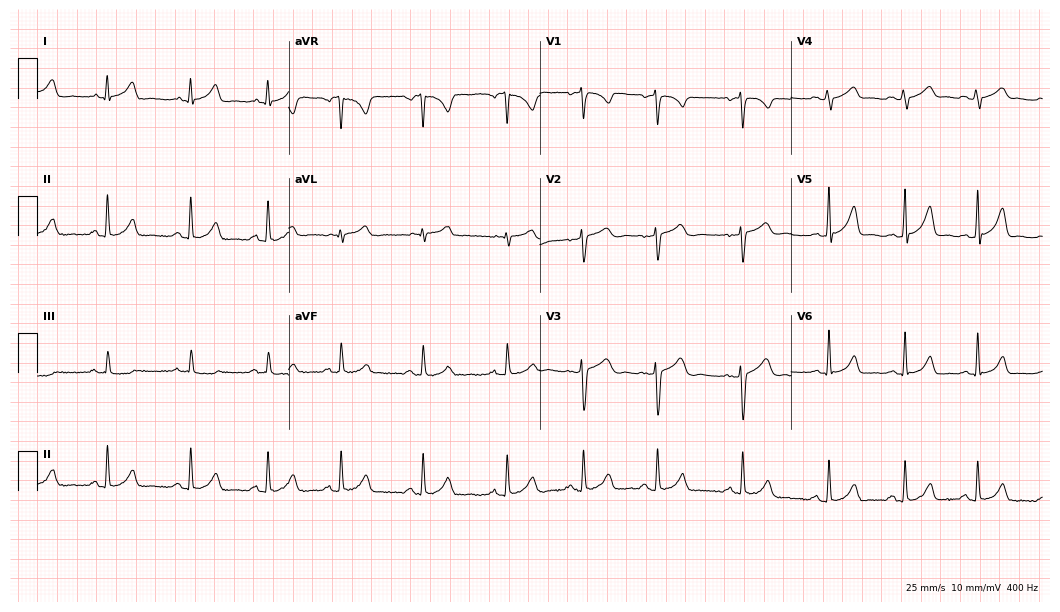
Standard 12-lead ECG recorded from a 22-year-old female. Read as a normal ECG.